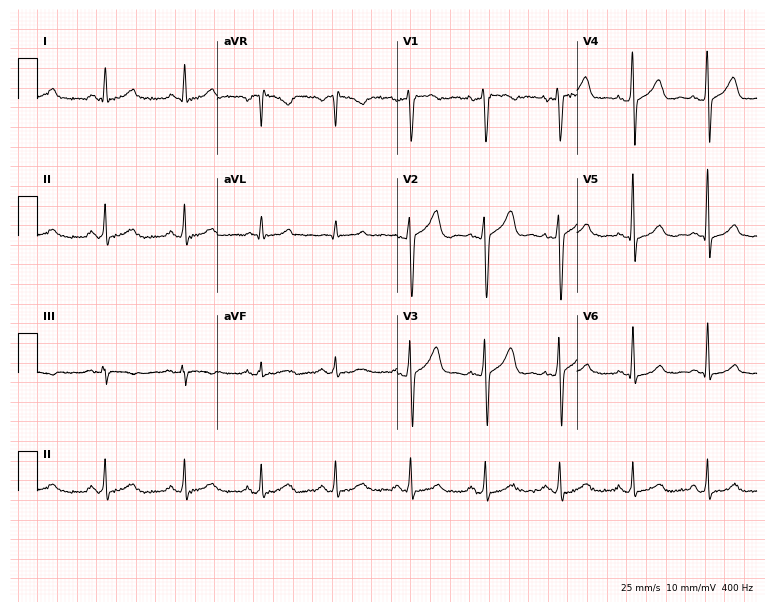
12-lead ECG from a male patient, 44 years old (7.3-second recording at 400 Hz). No first-degree AV block, right bundle branch block, left bundle branch block, sinus bradycardia, atrial fibrillation or sinus tachycardia recorded for this tracing. Other findings, if any, are not listed.